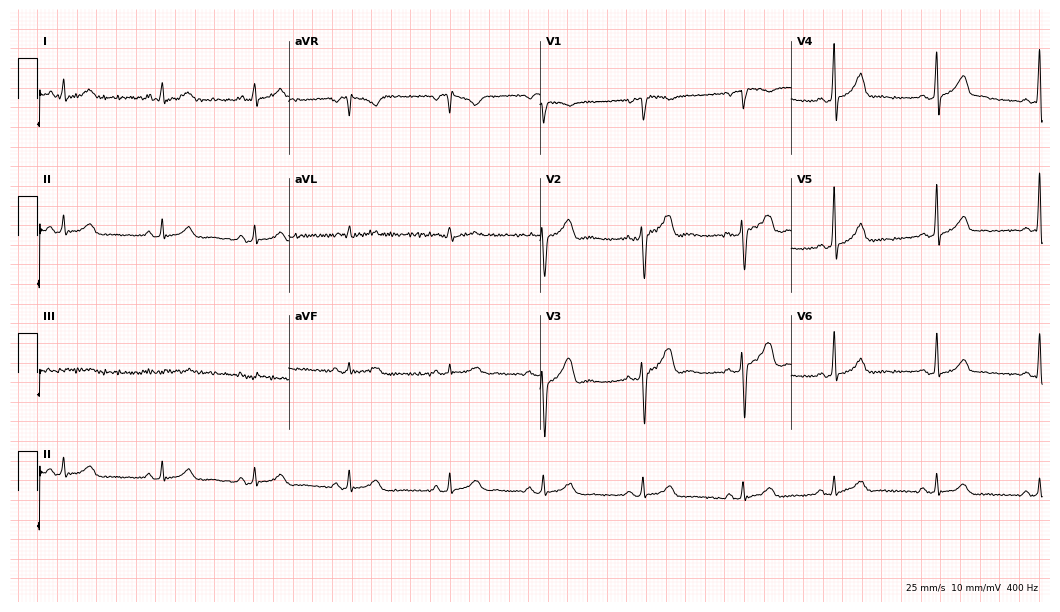
Standard 12-lead ECG recorded from a 33-year-old woman (10.2-second recording at 400 Hz). None of these six findings is recorded: first-degree AV block, right bundle branch block, left bundle branch block, sinus bradycardia, atrial fibrillation, sinus tachycardia. Other findings, if any, are not listed.